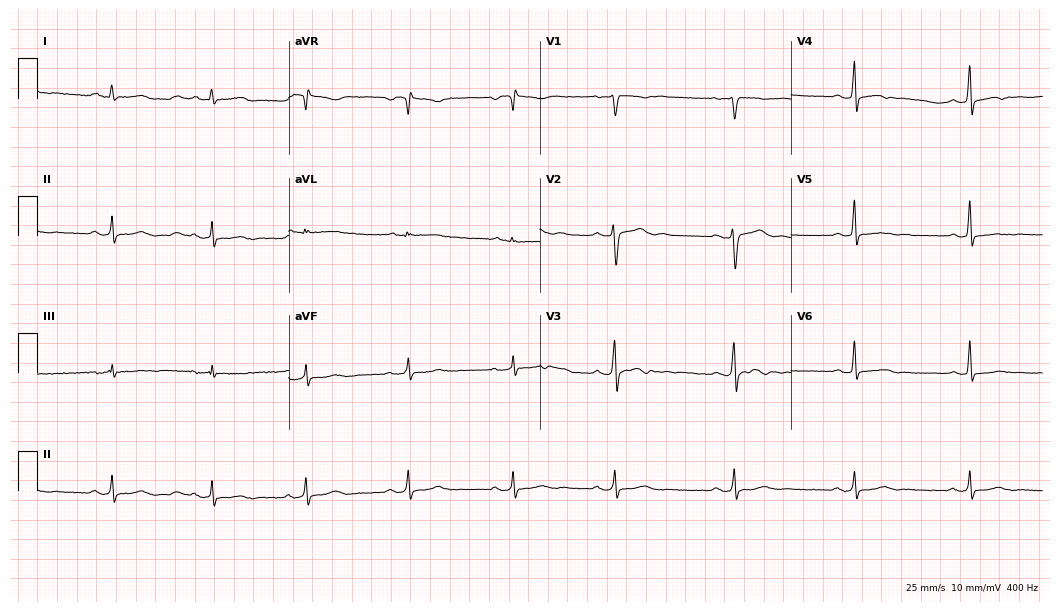
Resting 12-lead electrocardiogram (10.2-second recording at 400 Hz). Patient: a 37-year-old woman. None of these six findings is recorded: first-degree AV block, right bundle branch block (RBBB), left bundle branch block (LBBB), sinus bradycardia, atrial fibrillation (AF), sinus tachycardia. Only these six findings were labelled.